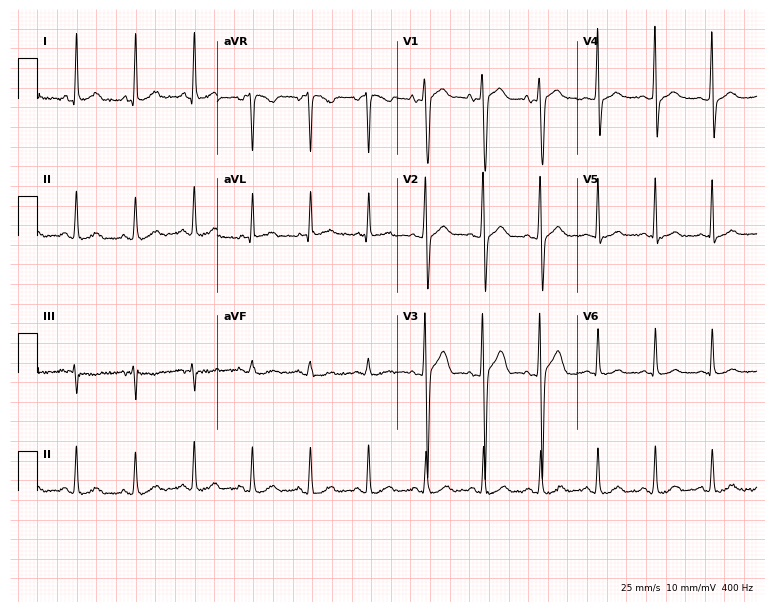
12-lead ECG (7.3-second recording at 400 Hz) from a 28-year-old male patient. Screened for six findings — first-degree AV block, right bundle branch block, left bundle branch block, sinus bradycardia, atrial fibrillation, sinus tachycardia — none is recorded.